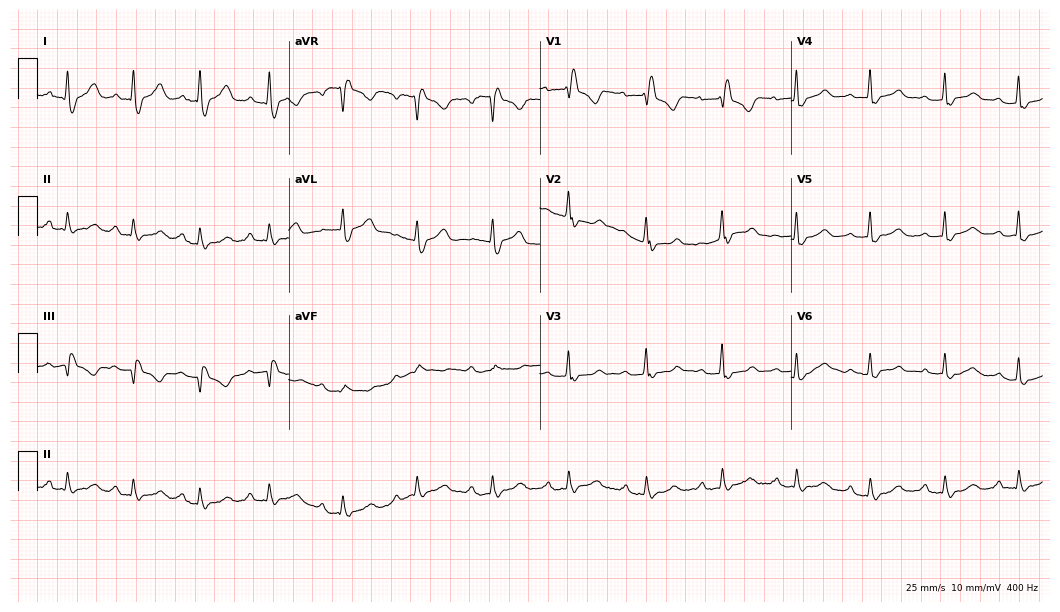
ECG (10.2-second recording at 400 Hz) — a 53-year-old female patient. Findings include first-degree AV block, right bundle branch block (RBBB).